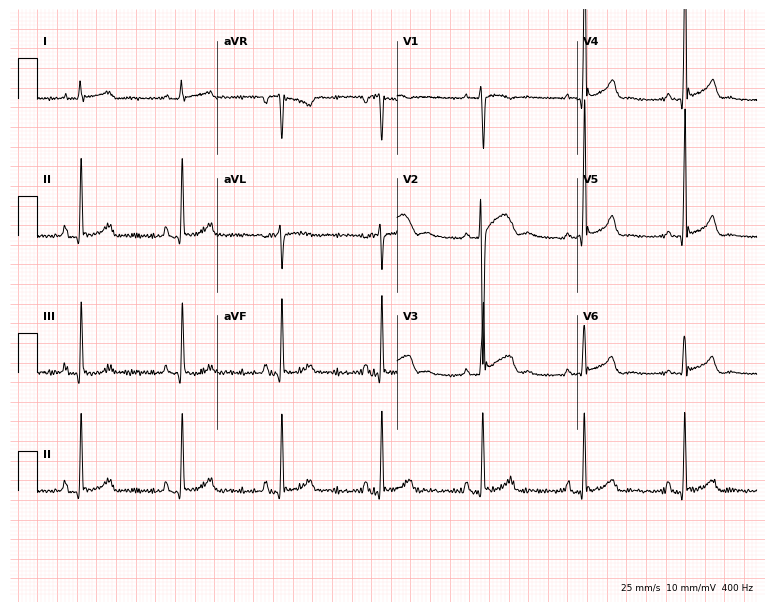
Electrocardiogram, a male, 17 years old. Overall reading on record: normal ECG.